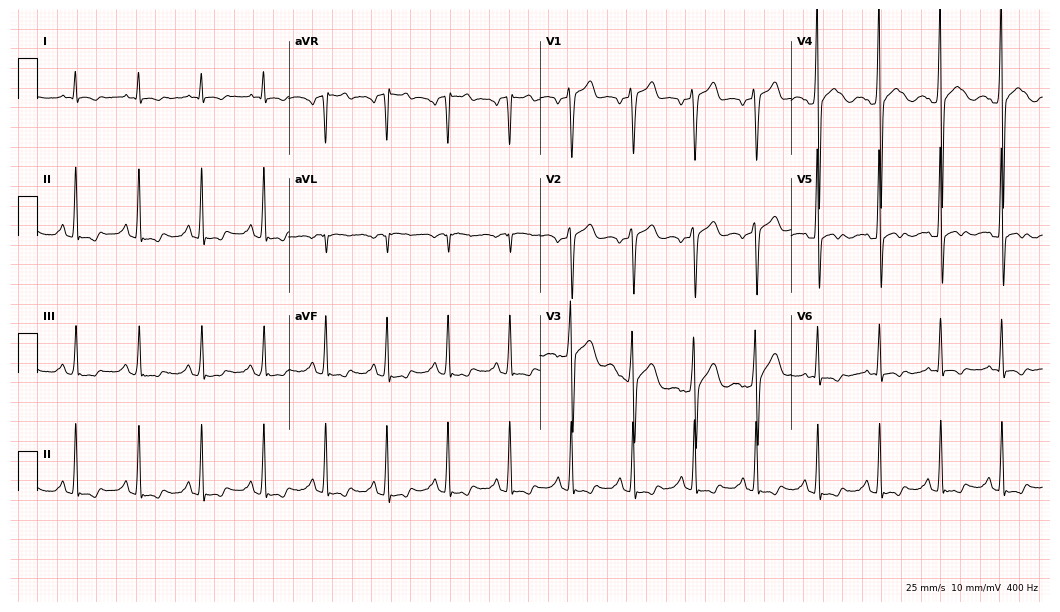
12-lead ECG from a male patient, 37 years old. No first-degree AV block, right bundle branch block, left bundle branch block, sinus bradycardia, atrial fibrillation or sinus tachycardia recorded for this tracing. Only these six findings were labelled.